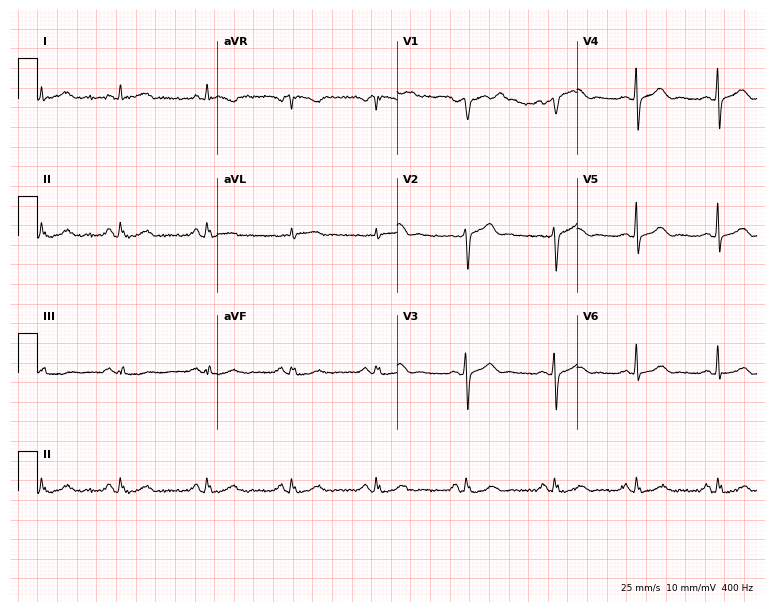
Electrocardiogram (7.3-second recording at 400 Hz), a female patient, 54 years old. Overall reading on record: normal ECG.